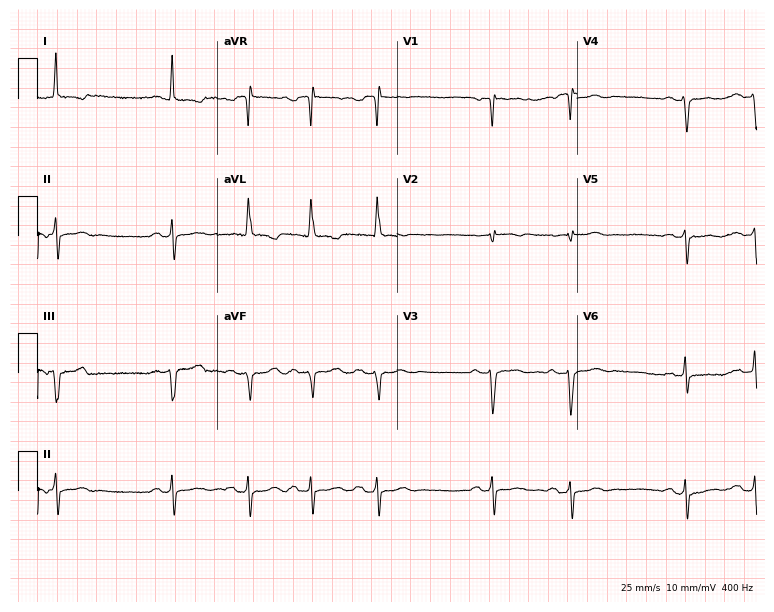
12-lead ECG from a 77-year-old female patient. Screened for six findings — first-degree AV block, right bundle branch block, left bundle branch block, sinus bradycardia, atrial fibrillation, sinus tachycardia — none is recorded. Findings outside these six are not listed.